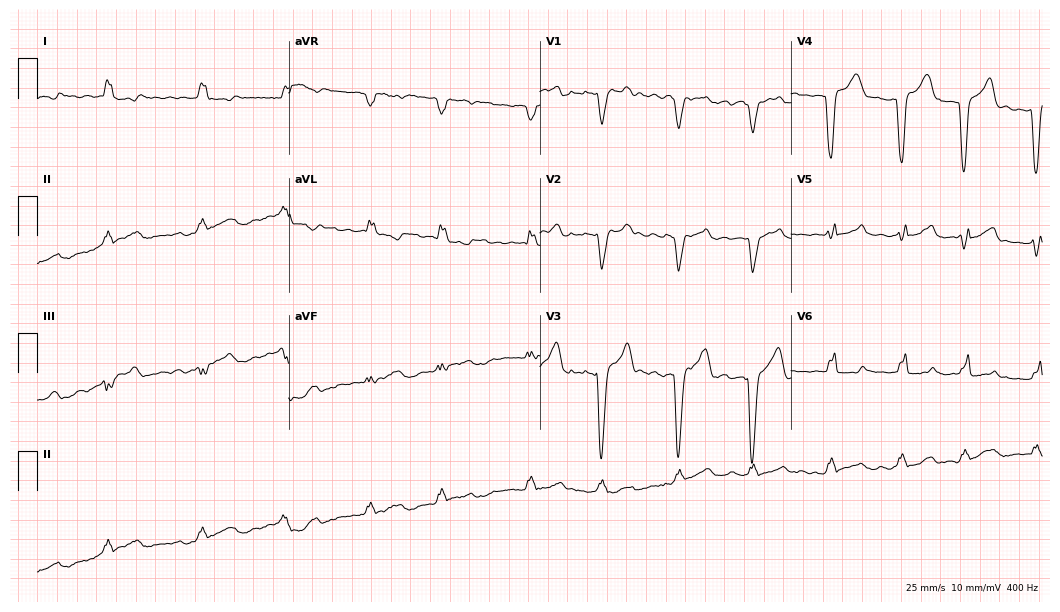
Electrocardiogram, a female patient, 73 years old. Interpretation includes left bundle branch block, atrial fibrillation.